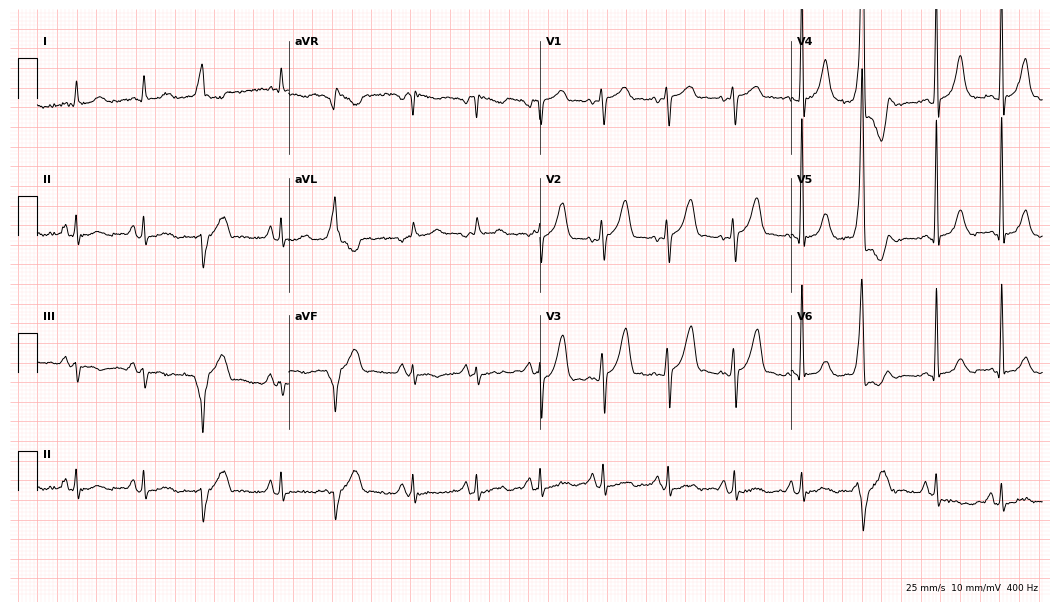
Standard 12-lead ECG recorded from a man, 60 years old. None of these six findings is recorded: first-degree AV block, right bundle branch block (RBBB), left bundle branch block (LBBB), sinus bradycardia, atrial fibrillation (AF), sinus tachycardia. Findings outside these six are not listed.